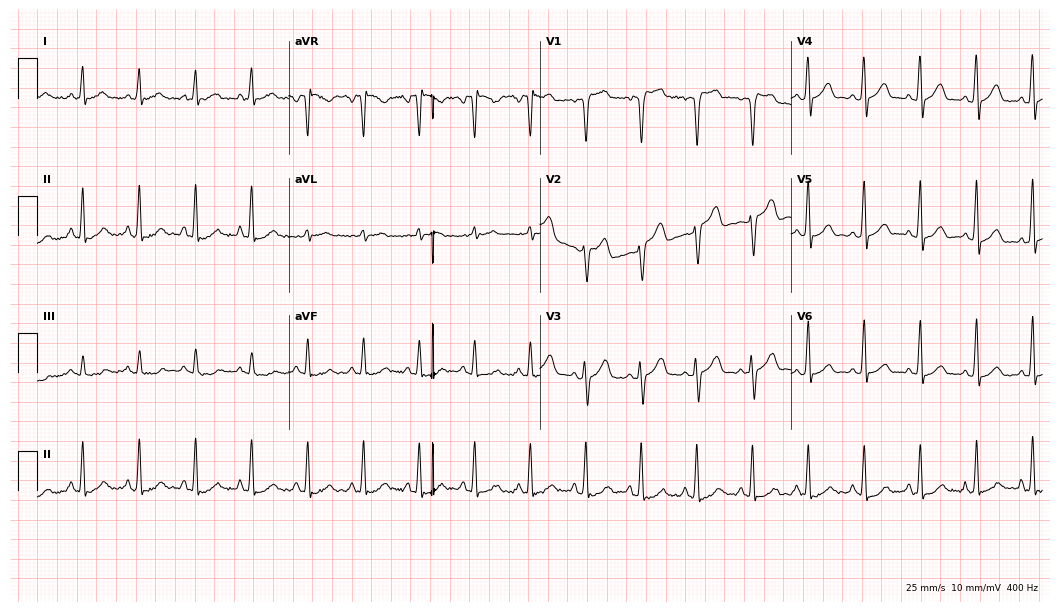
12-lead ECG from a female, 59 years old. Screened for six findings — first-degree AV block, right bundle branch block (RBBB), left bundle branch block (LBBB), sinus bradycardia, atrial fibrillation (AF), sinus tachycardia — none is recorded.